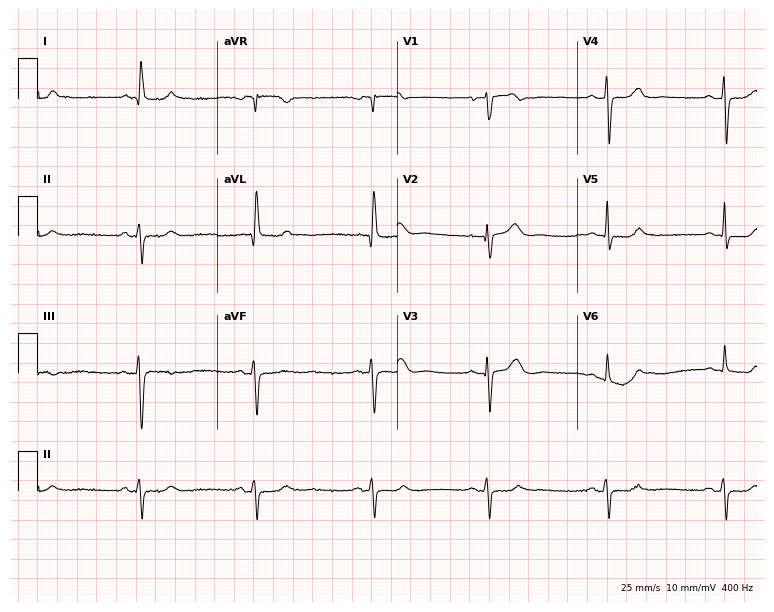
Electrocardiogram, an 80-year-old male patient. Interpretation includes sinus bradycardia (a sinus rate of 50 beats per minute or less).